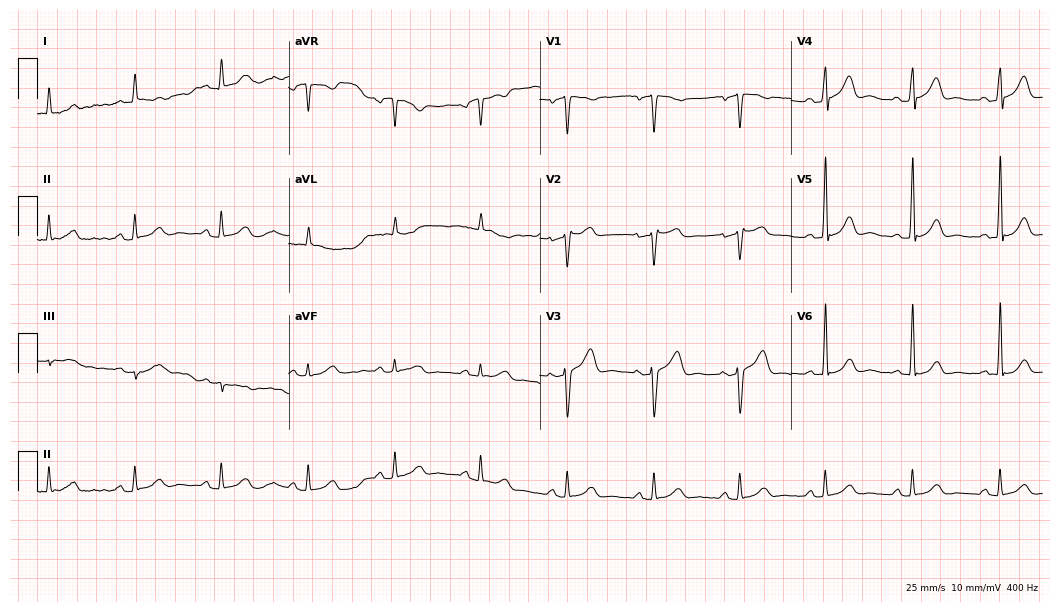
ECG — a 54-year-old male patient. Screened for six findings — first-degree AV block, right bundle branch block (RBBB), left bundle branch block (LBBB), sinus bradycardia, atrial fibrillation (AF), sinus tachycardia — none is recorded.